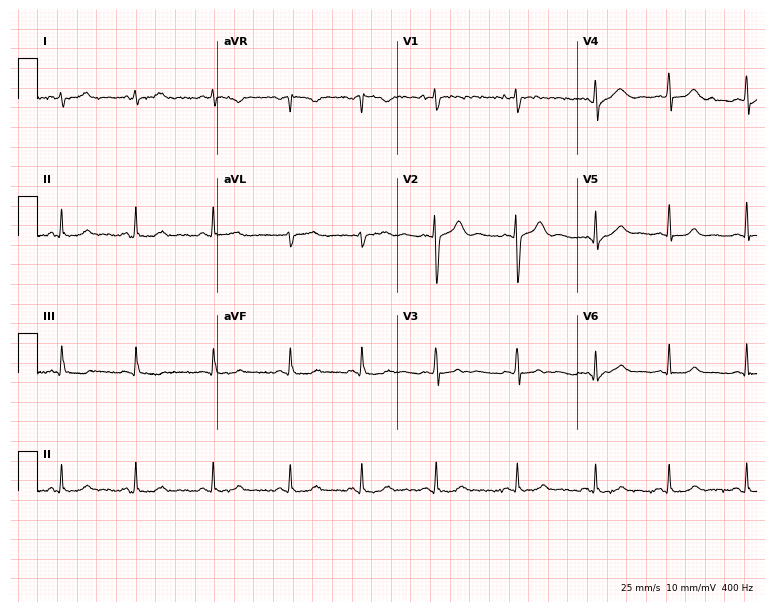
Resting 12-lead electrocardiogram. Patient: a 21-year-old woman. None of these six findings is recorded: first-degree AV block, right bundle branch block (RBBB), left bundle branch block (LBBB), sinus bradycardia, atrial fibrillation (AF), sinus tachycardia. Other findings, if any, are not listed.